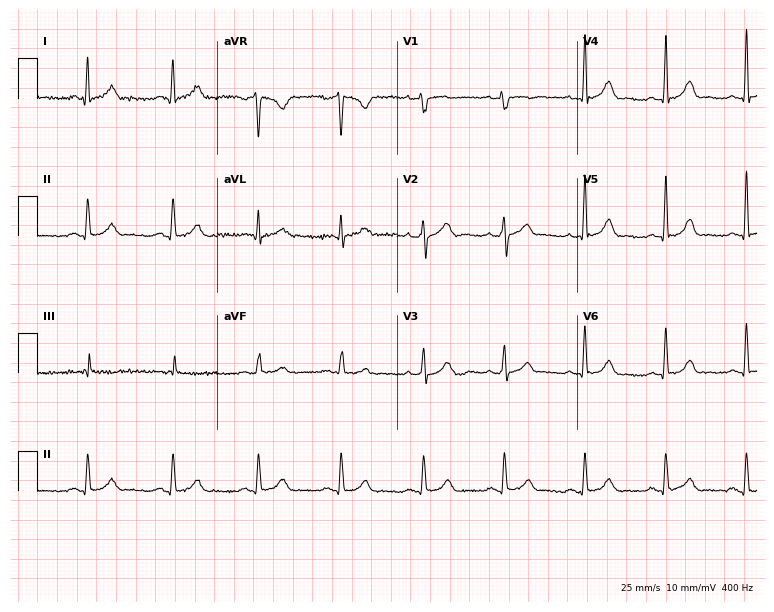
ECG — a 56-year-old male patient. Labelled as a normal ECG.